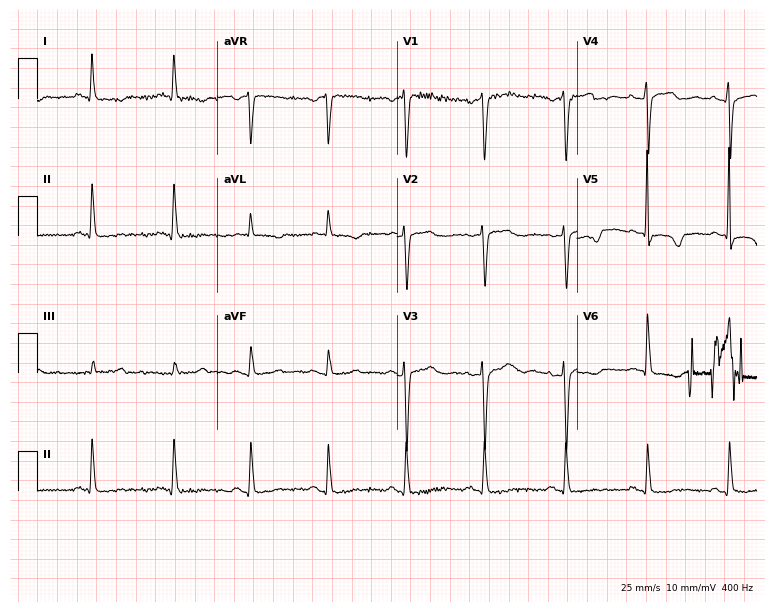
Resting 12-lead electrocardiogram. Patient: a woman, 71 years old. None of these six findings is recorded: first-degree AV block, right bundle branch block, left bundle branch block, sinus bradycardia, atrial fibrillation, sinus tachycardia. Only these six findings were labelled.